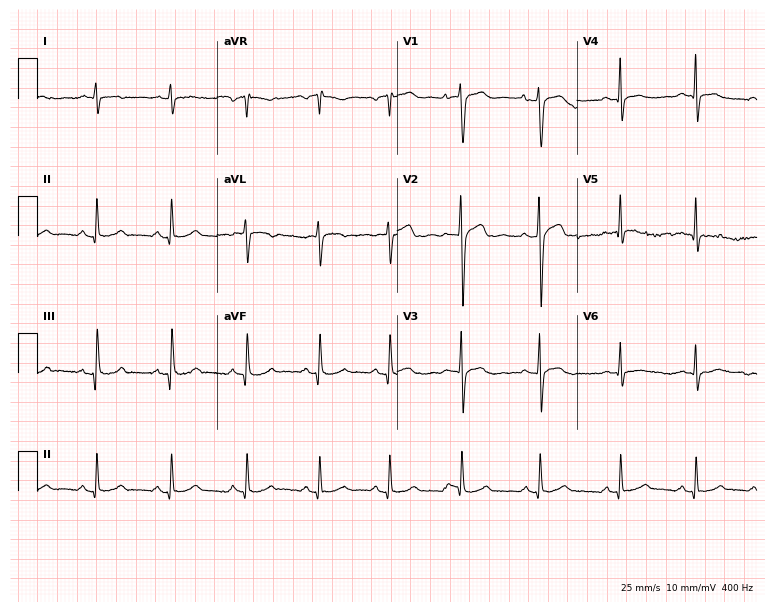
Electrocardiogram (7.3-second recording at 400 Hz), a male, 21 years old. Of the six screened findings (first-degree AV block, right bundle branch block, left bundle branch block, sinus bradycardia, atrial fibrillation, sinus tachycardia), none is recorded.